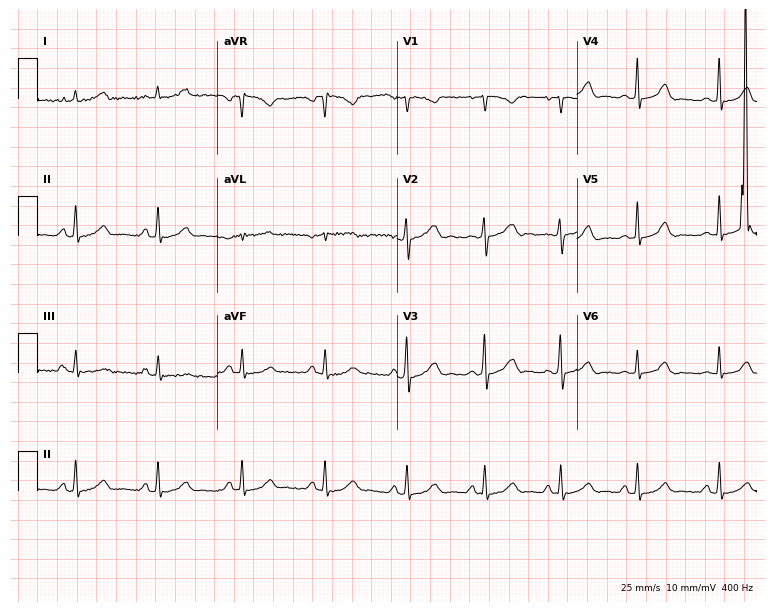
12-lead ECG from a 29-year-old female patient. Screened for six findings — first-degree AV block, right bundle branch block (RBBB), left bundle branch block (LBBB), sinus bradycardia, atrial fibrillation (AF), sinus tachycardia — none is recorded. Other findings, if any, are not listed.